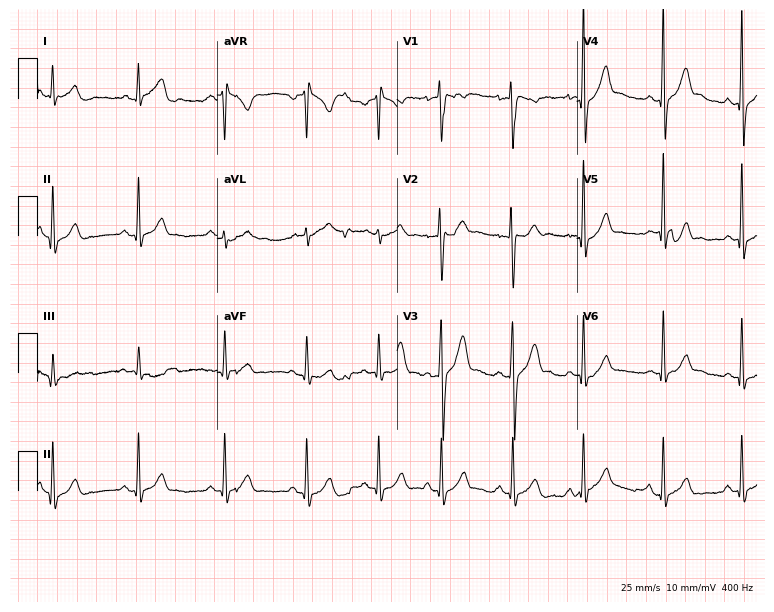
12-lead ECG from a man, 18 years old (7.3-second recording at 400 Hz). No first-degree AV block, right bundle branch block, left bundle branch block, sinus bradycardia, atrial fibrillation or sinus tachycardia recorded for this tracing. Only these six findings were labelled.